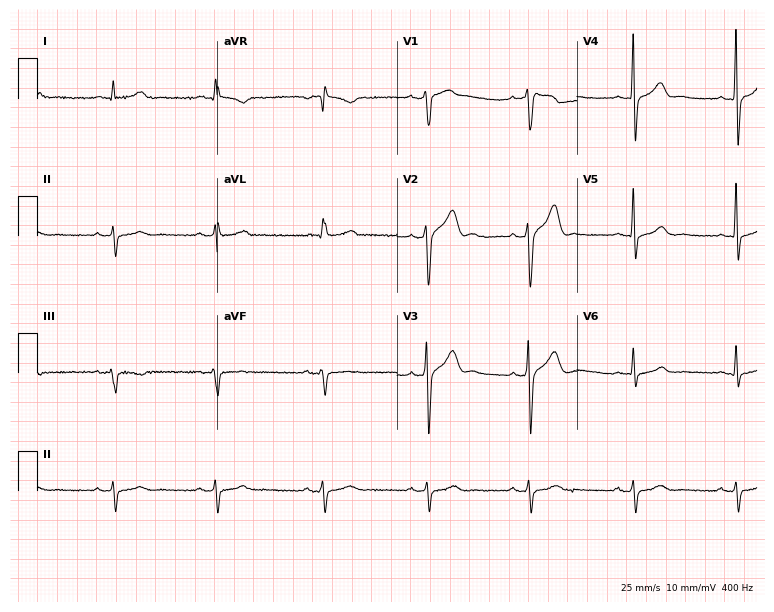
ECG — a 53-year-old male patient. Screened for six findings — first-degree AV block, right bundle branch block (RBBB), left bundle branch block (LBBB), sinus bradycardia, atrial fibrillation (AF), sinus tachycardia — none is recorded. Only these six findings were labelled.